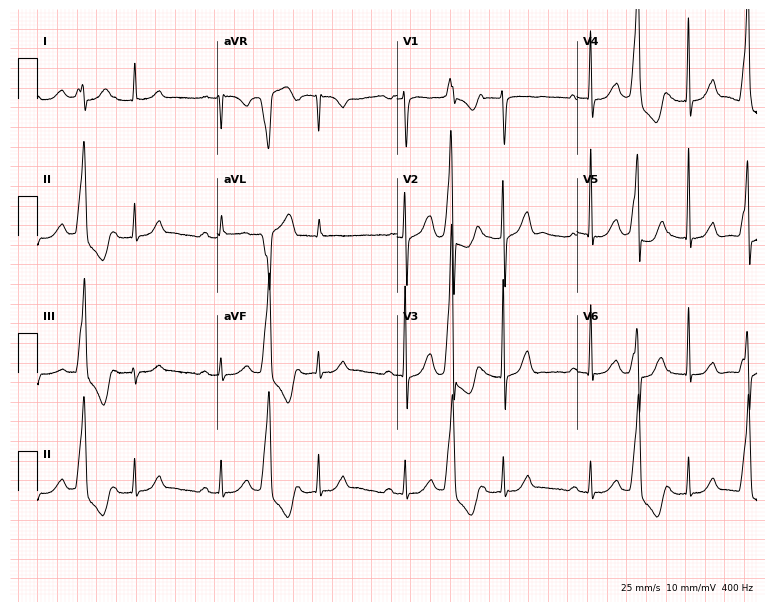
12-lead ECG from a man, 83 years old. No first-degree AV block, right bundle branch block, left bundle branch block, sinus bradycardia, atrial fibrillation or sinus tachycardia recorded for this tracing. Other findings, if any, are not listed.